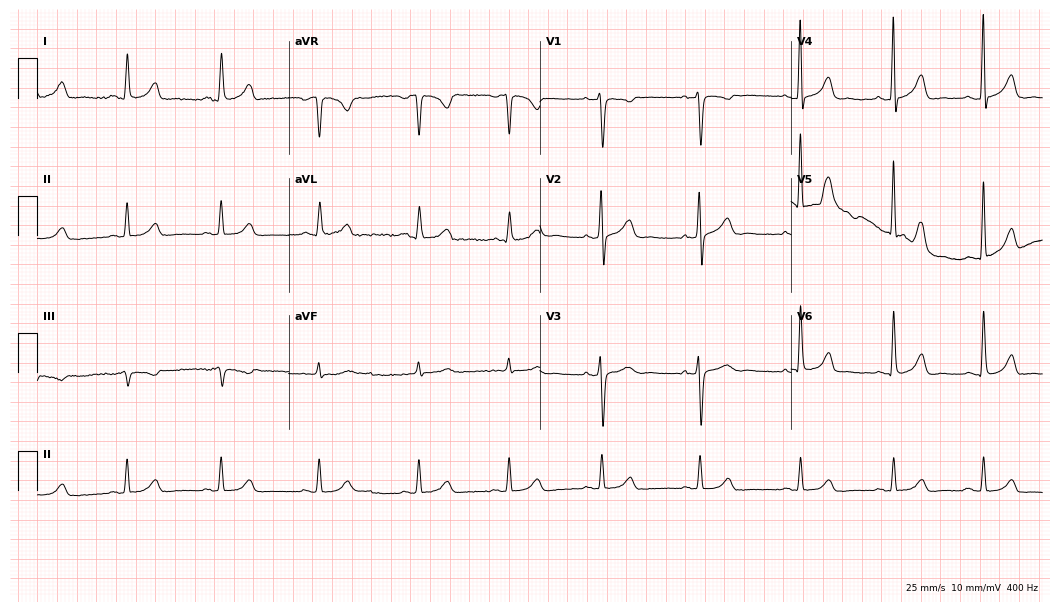
ECG (10.2-second recording at 400 Hz) — a 49-year-old female patient. Labelled as a normal ECG.